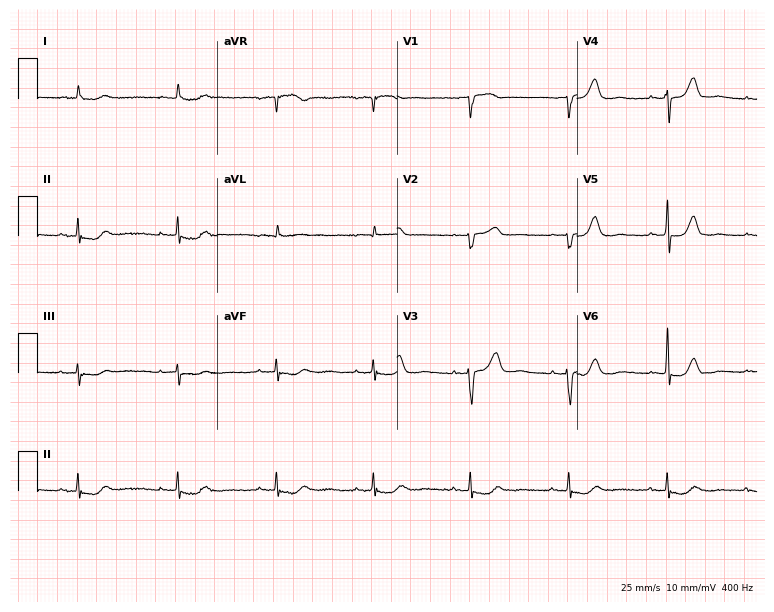
Standard 12-lead ECG recorded from a 78-year-old male. None of these six findings is recorded: first-degree AV block, right bundle branch block, left bundle branch block, sinus bradycardia, atrial fibrillation, sinus tachycardia.